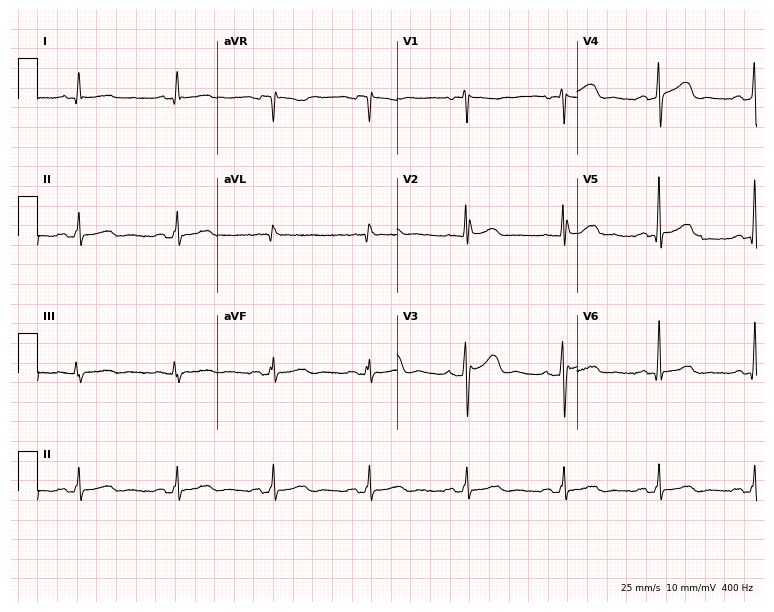
Resting 12-lead electrocardiogram (7.3-second recording at 400 Hz). Patient: a man, 56 years old. Read as a normal ECG.